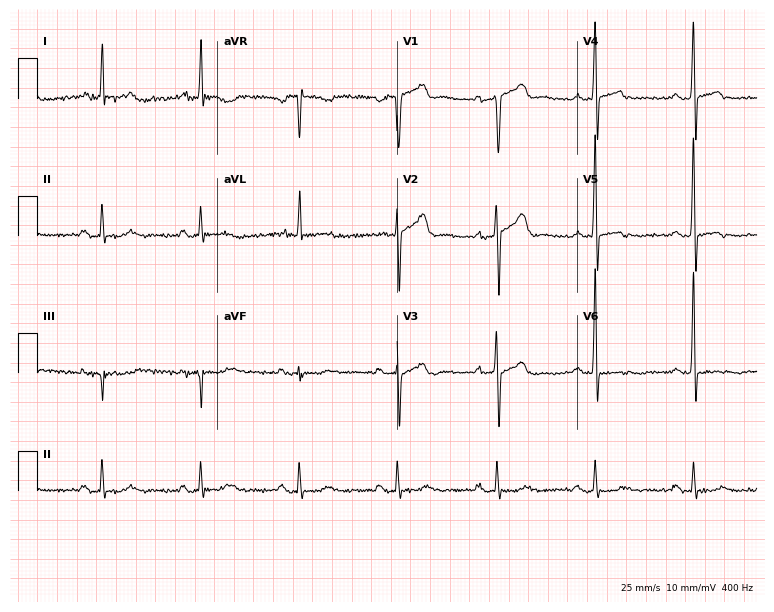
ECG — a male, 67 years old. Labelled as a normal ECG.